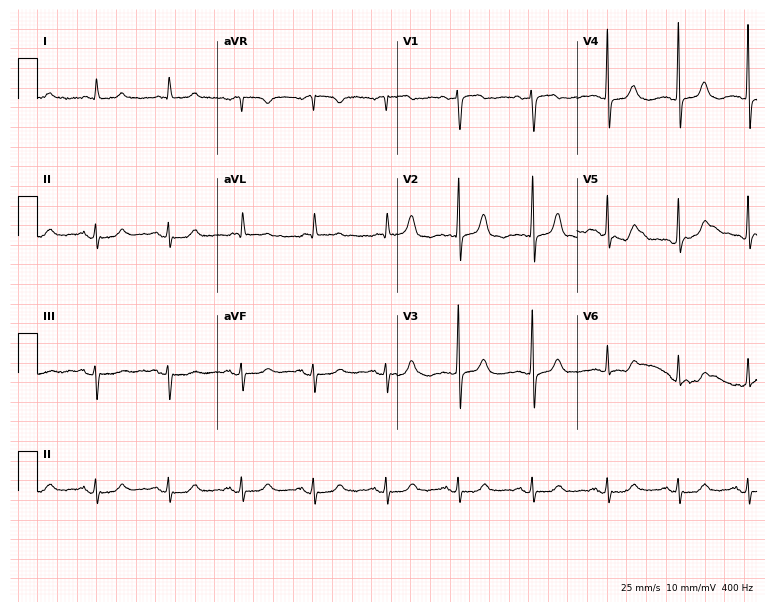
Resting 12-lead electrocardiogram (7.3-second recording at 400 Hz). Patient: a woman, 85 years old. Read as a normal ECG.